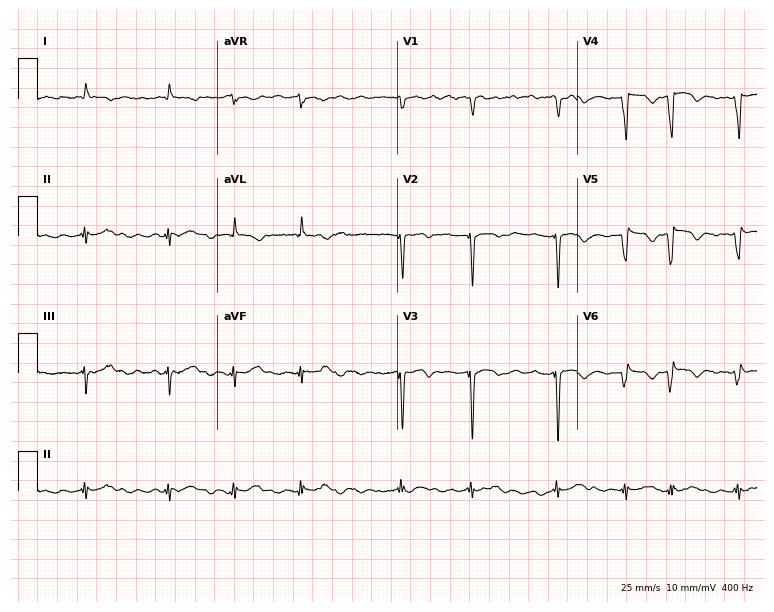
ECG — a female patient, 72 years old. Findings include atrial fibrillation (AF).